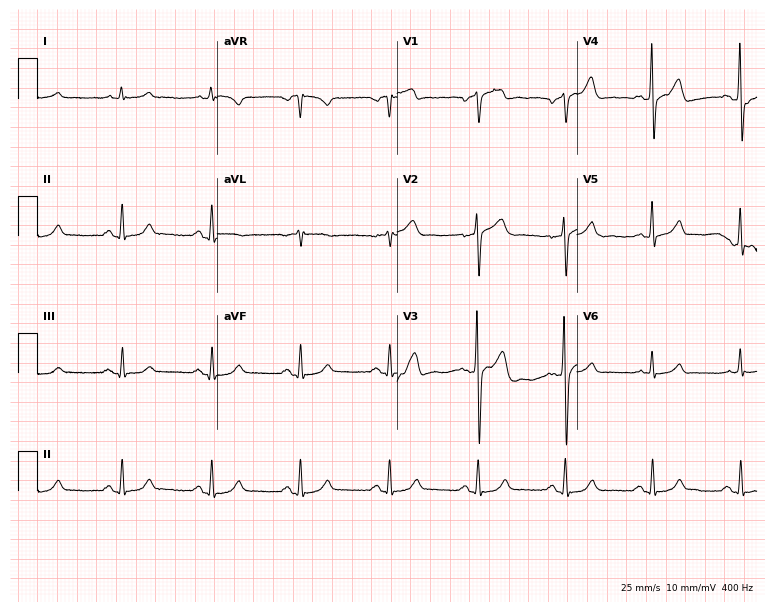
12-lead ECG from a 62-year-old male patient. No first-degree AV block, right bundle branch block, left bundle branch block, sinus bradycardia, atrial fibrillation or sinus tachycardia recorded for this tracing.